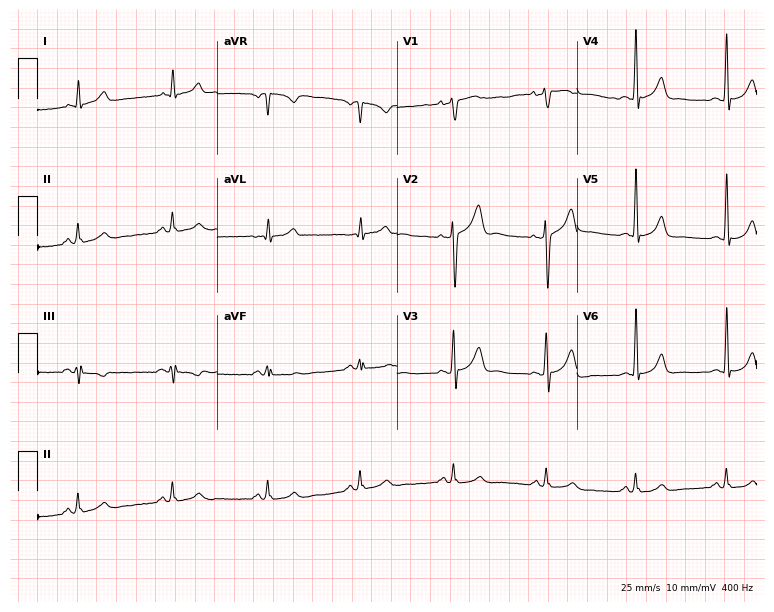
Standard 12-lead ECG recorded from a 46-year-old male (7.3-second recording at 400 Hz). None of these six findings is recorded: first-degree AV block, right bundle branch block, left bundle branch block, sinus bradycardia, atrial fibrillation, sinus tachycardia.